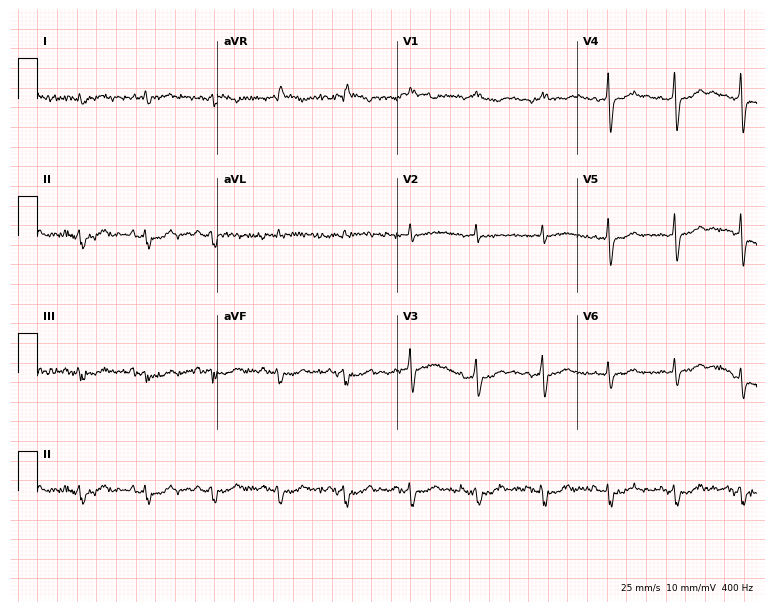
12-lead ECG from a 59-year-old female patient. Screened for six findings — first-degree AV block, right bundle branch block, left bundle branch block, sinus bradycardia, atrial fibrillation, sinus tachycardia — none is recorded.